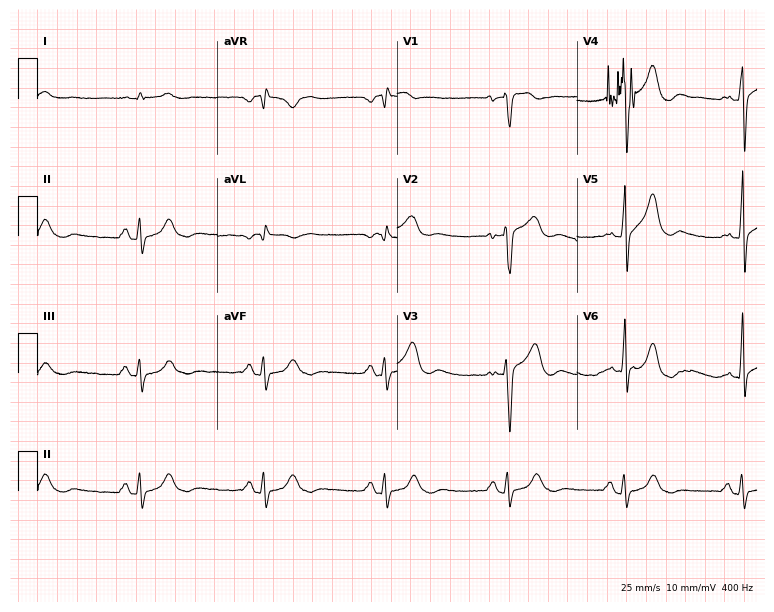
12-lead ECG from a 72-year-old man (7.3-second recording at 400 Hz). Shows sinus bradycardia (a sinus rate of 50 beats per minute or less).